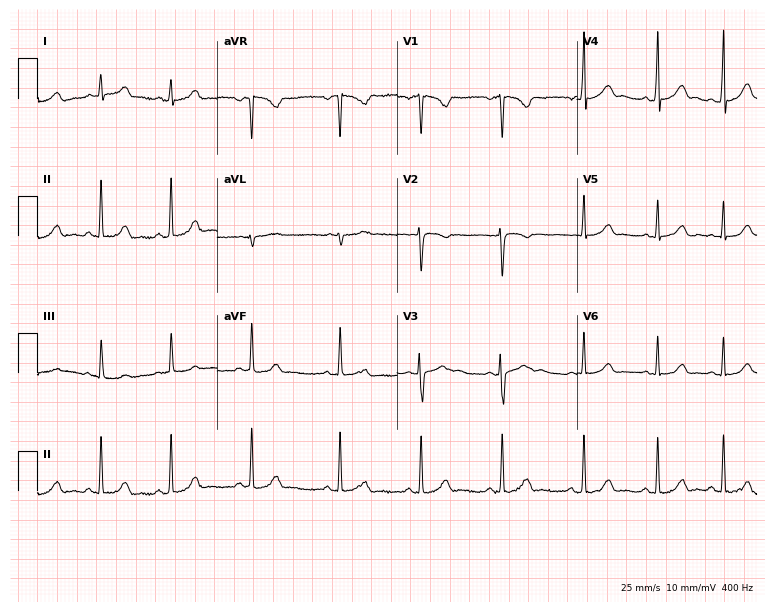
12-lead ECG from a 19-year-old female patient. No first-degree AV block, right bundle branch block, left bundle branch block, sinus bradycardia, atrial fibrillation or sinus tachycardia recorded for this tracing. Only these six findings were labelled.